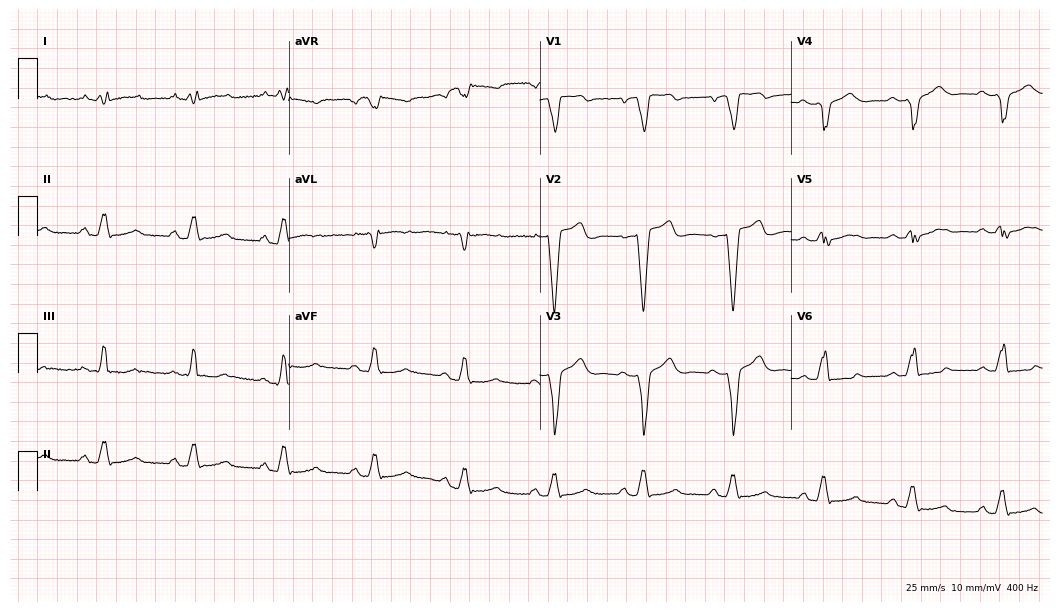
Resting 12-lead electrocardiogram. Patient: a 43-year-old woman. The tracing shows left bundle branch block.